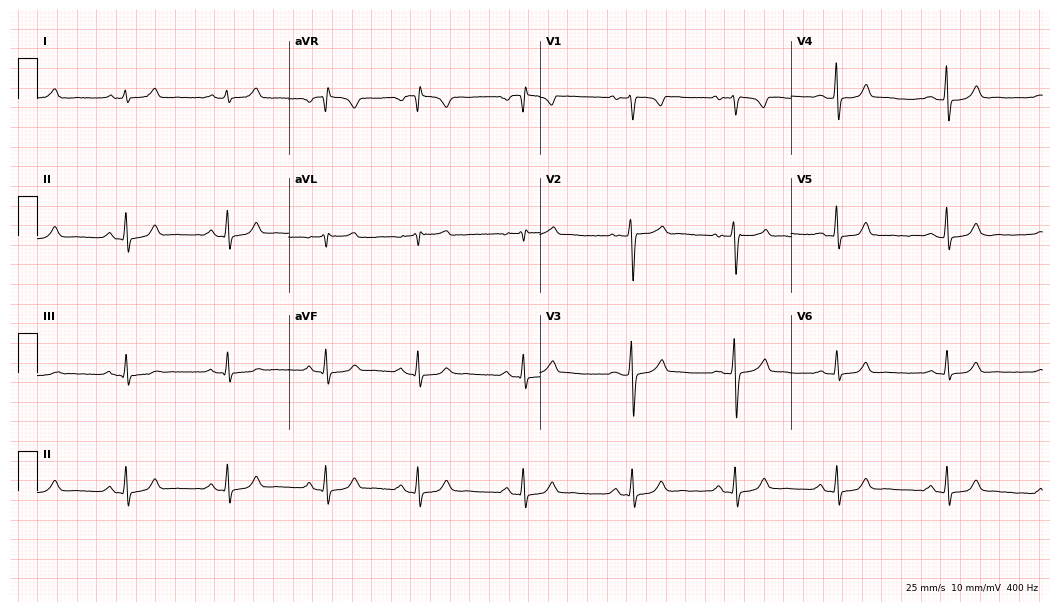
12-lead ECG from a female patient, 36 years old. Labelled as a normal ECG.